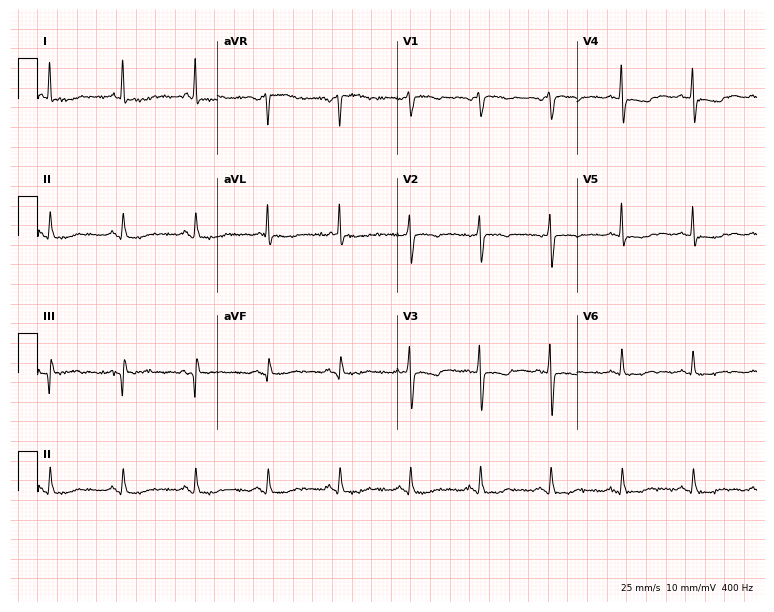
ECG (7.3-second recording at 400 Hz) — a 64-year-old woman. Screened for six findings — first-degree AV block, right bundle branch block, left bundle branch block, sinus bradycardia, atrial fibrillation, sinus tachycardia — none is recorded. Only these six findings were labelled.